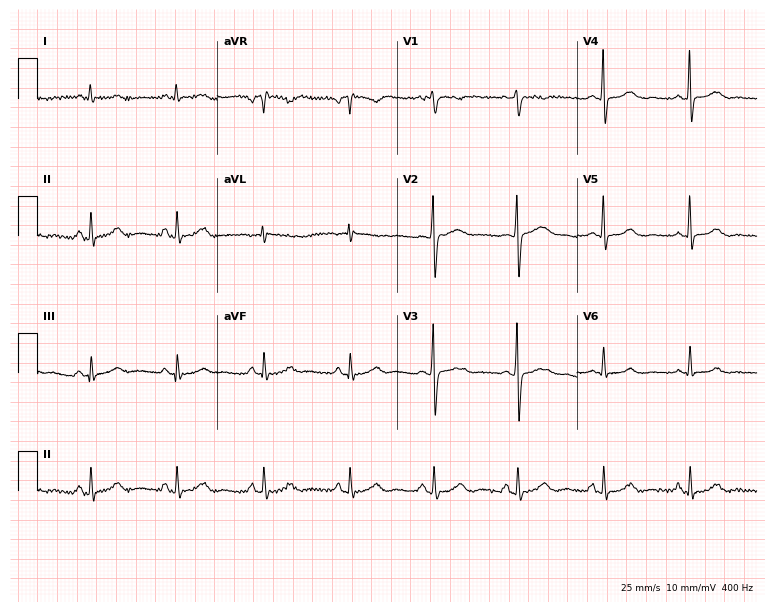
Resting 12-lead electrocardiogram. Patient: a 33-year-old female. None of these six findings is recorded: first-degree AV block, right bundle branch block, left bundle branch block, sinus bradycardia, atrial fibrillation, sinus tachycardia.